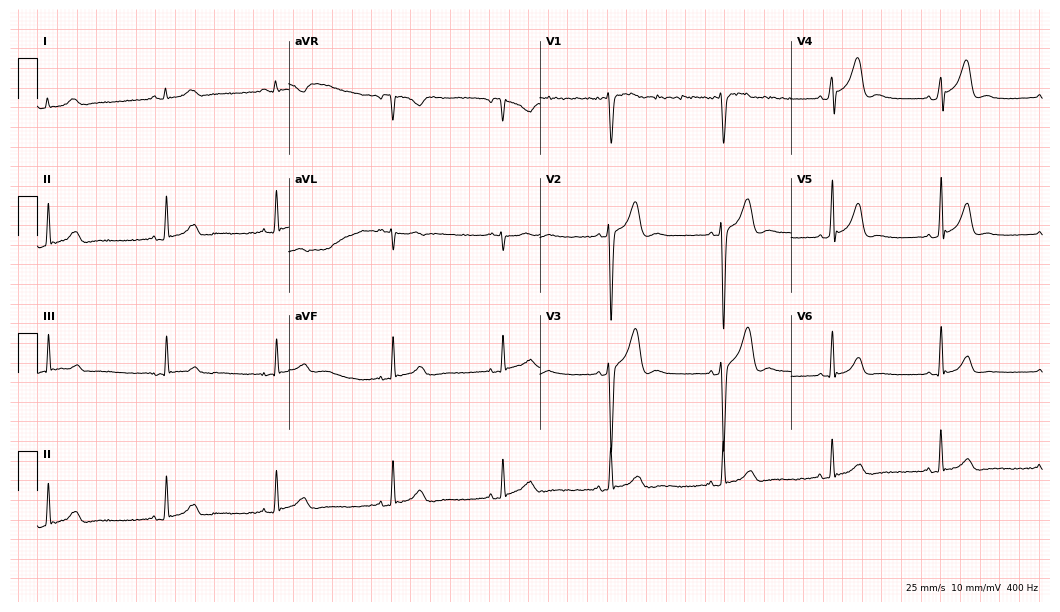
12-lead ECG from a male patient, 27 years old. Screened for six findings — first-degree AV block, right bundle branch block, left bundle branch block, sinus bradycardia, atrial fibrillation, sinus tachycardia — none is recorded.